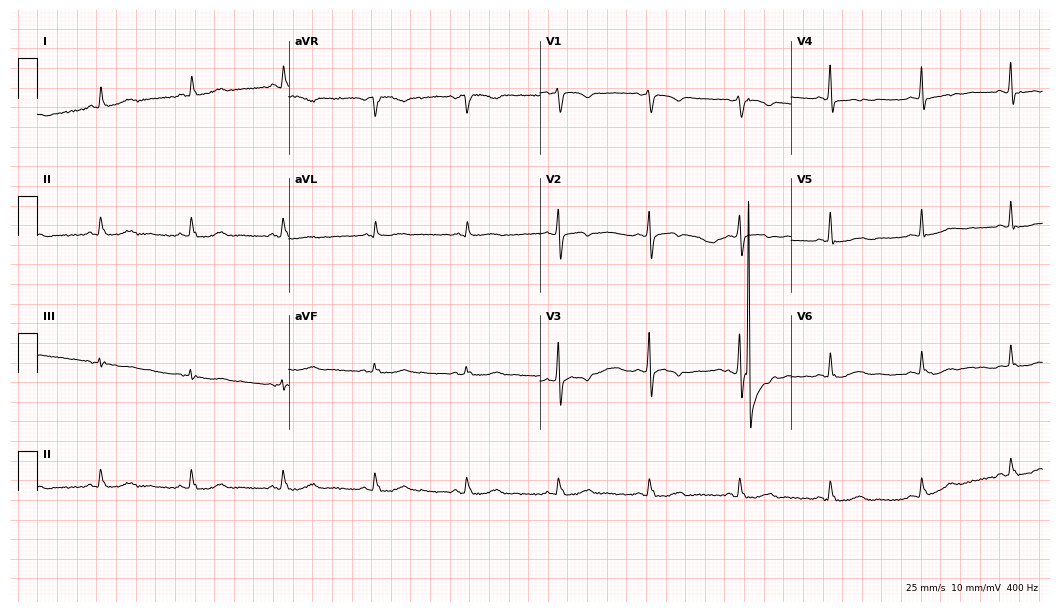
Electrocardiogram, a female, 62 years old. Of the six screened findings (first-degree AV block, right bundle branch block, left bundle branch block, sinus bradycardia, atrial fibrillation, sinus tachycardia), none is recorded. Other findings, if any, are not listed.